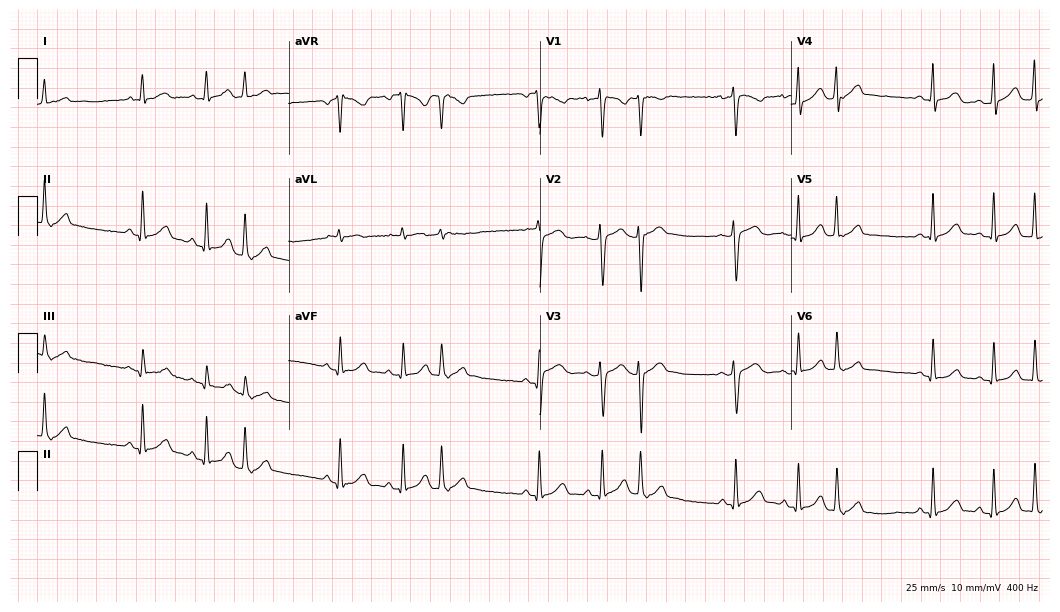
12-lead ECG from a 20-year-old female. No first-degree AV block, right bundle branch block (RBBB), left bundle branch block (LBBB), sinus bradycardia, atrial fibrillation (AF) or sinus tachycardia recorded for this tracing.